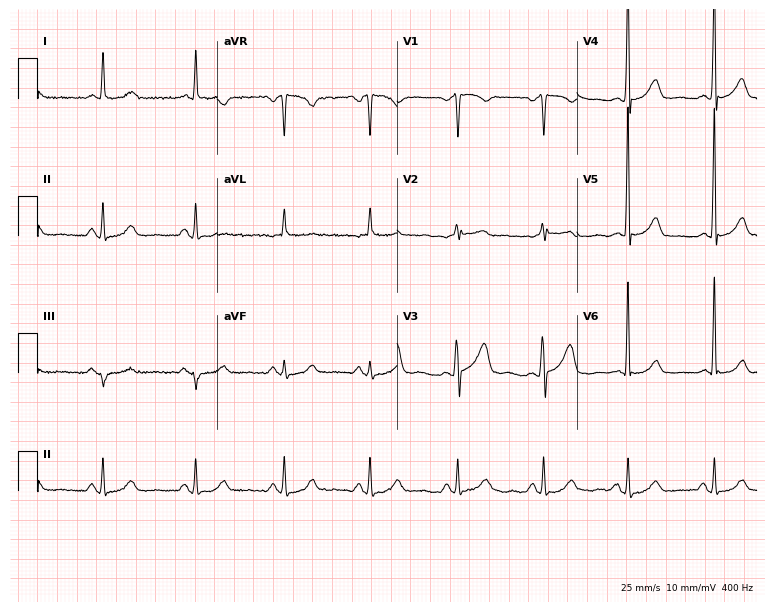
ECG — a male patient, 68 years old. Labelled as a normal ECG.